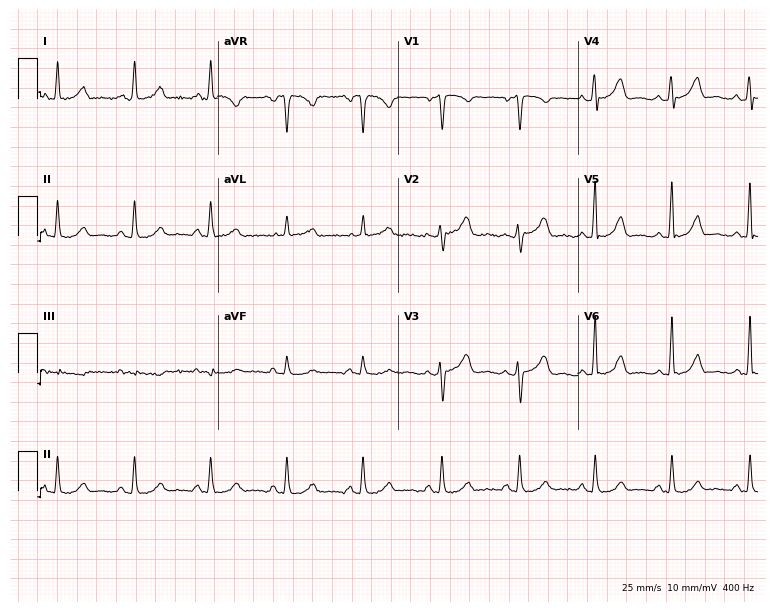
ECG — a 39-year-old female. Screened for six findings — first-degree AV block, right bundle branch block, left bundle branch block, sinus bradycardia, atrial fibrillation, sinus tachycardia — none is recorded.